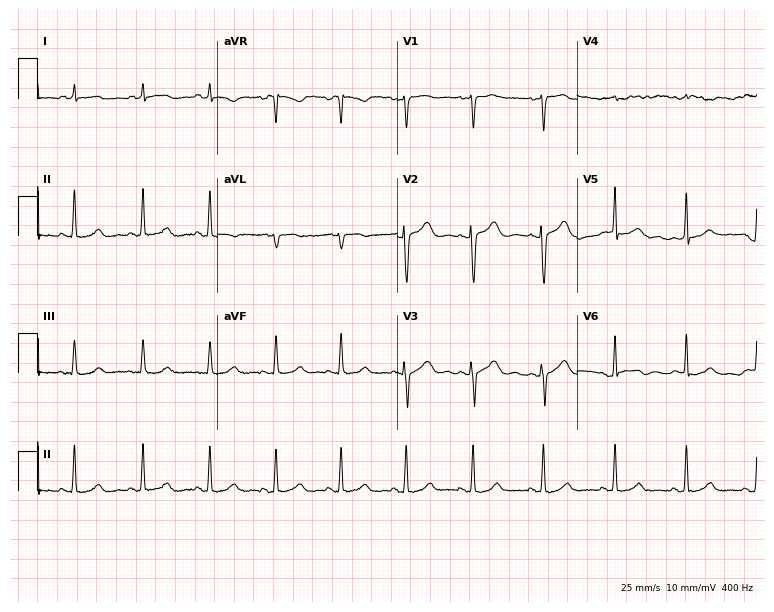
12-lead ECG from a 20-year-old female patient (7.3-second recording at 400 Hz). Recorded interpretation: within normal limits.